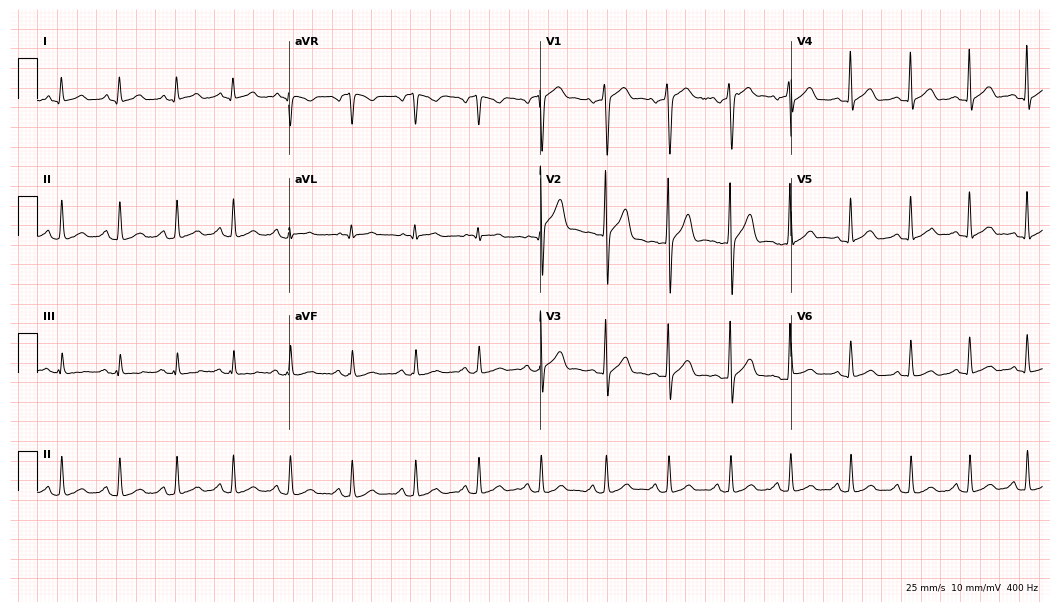
ECG (10.2-second recording at 400 Hz) — a 24-year-old man. Labelled as a normal ECG.